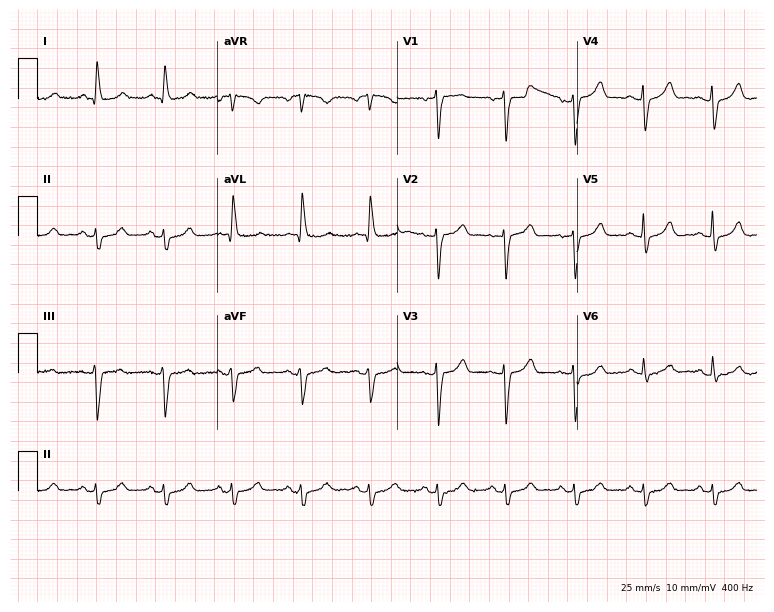
12-lead ECG (7.3-second recording at 400 Hz) from an 82-year-old female. Screened for six findings — first-degree AV block, right bundle branch block, left bundle branch block, sinus bradycardia, atrial fibrillation, sinus tachycardia — none is recorded.